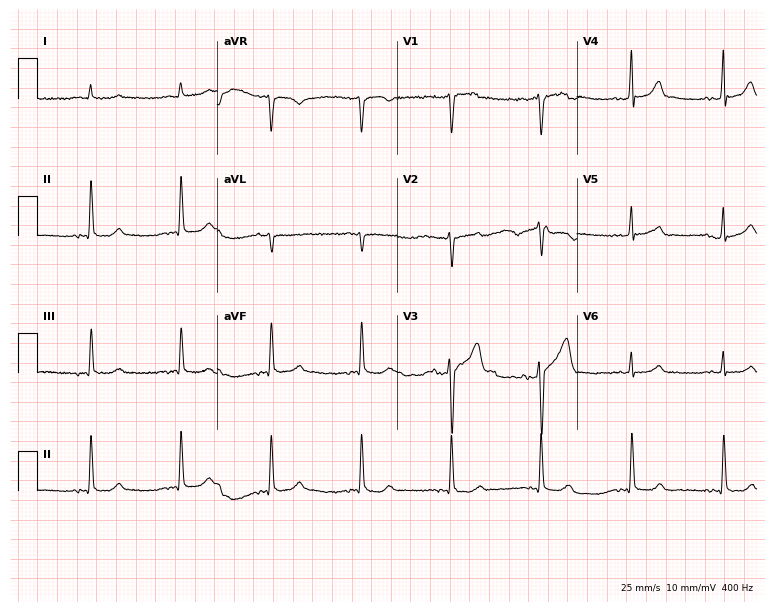
Electrocardiogram, a 51-year-old man. Of the six screened findings (first-degree AV block, right bundle branch block, left bundle branch block, sinus bradycardia, atrial fibrillation, sinus tachycardia), none is recorded. Findings outside these six are not listed.